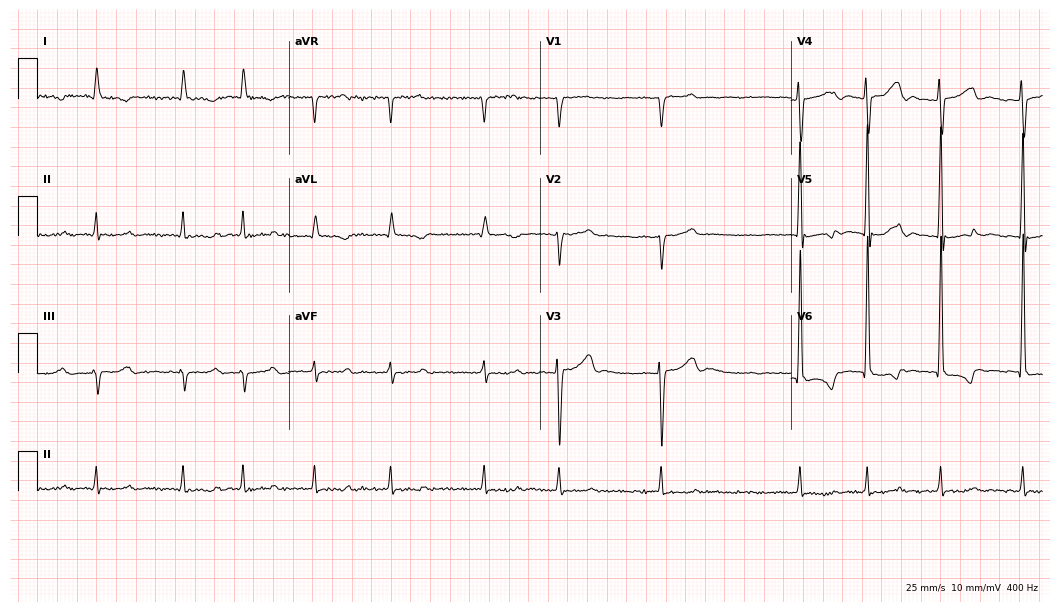
Electrocardiogram, an 82-year-old man. Interpretation includes atrial fibrillation.